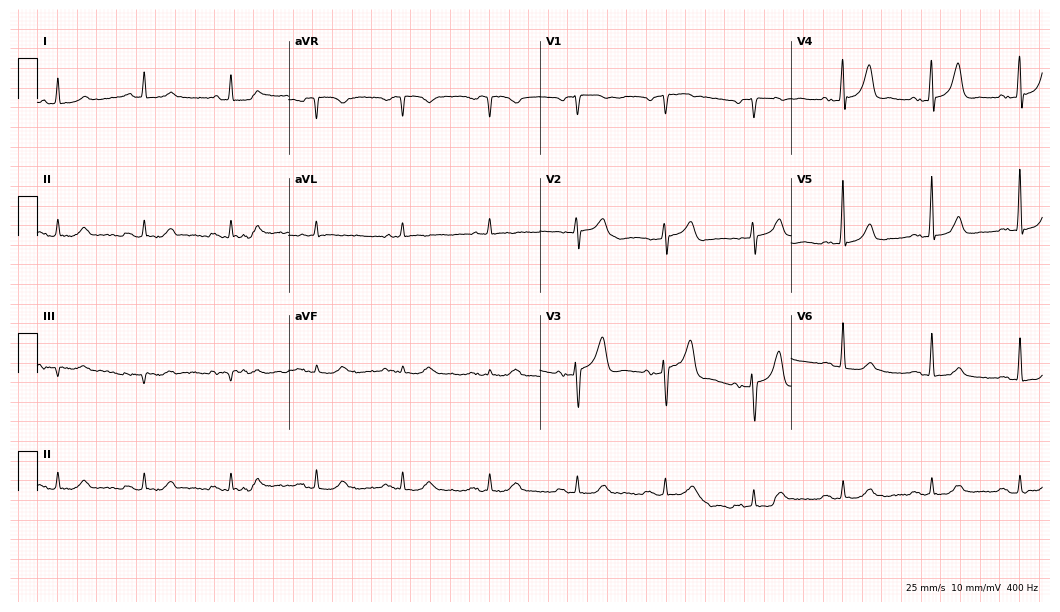
Electrocardiogram, a man, 79 years old. Overall reading on record: normal ECG.